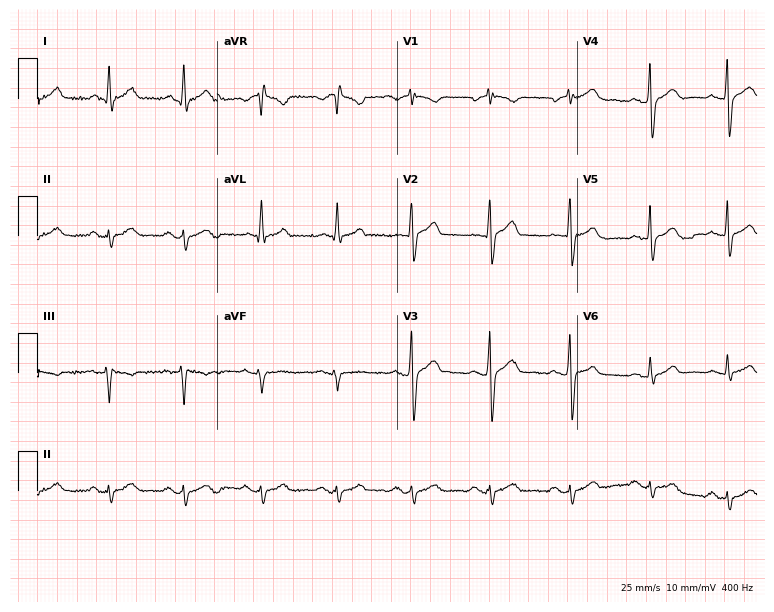
ECG — a 44-year-old male. Screened for six findings — first-degree AV block, right bundle branch block, left bundle branch block, sinus bradycardia, atrial fibrillation, sinus tachycardia — none is recorded. Findings outside these six are not listed.